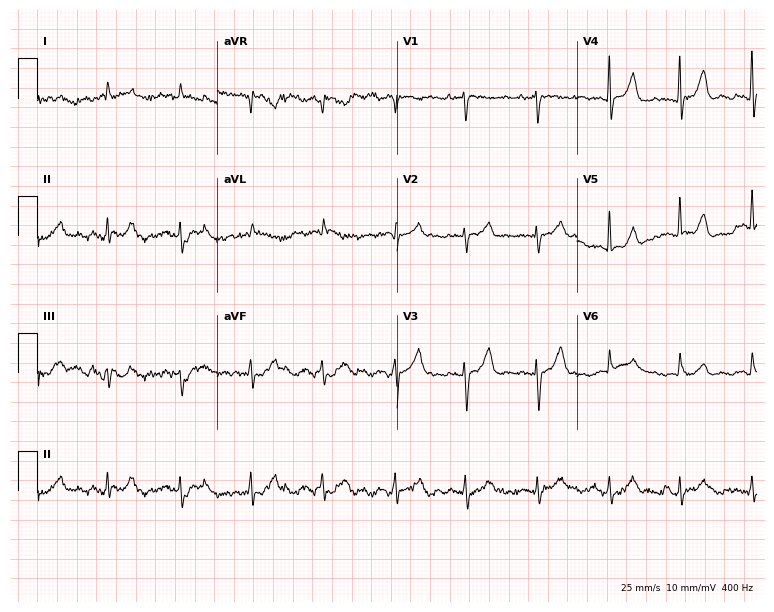
Electrocardiogram (7.3-second recording at 400 Hz), a male, 82 years old. Of the six screened findings (first-degree AV block, right bundle branch block, left bundle branch block, sinus bradycardia, atrial fibrillation, sinus tachycardia), none is recorded. Only these six findings were labelled.